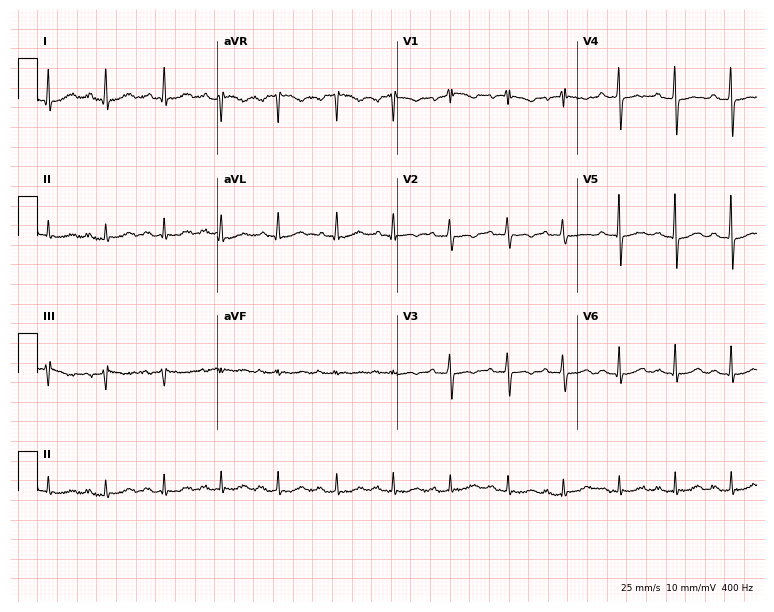
ECG (7.3-second recording at 400 Hz) — a 67-year-old female. Screened for six findings — first-degree AV block, right bundle branch block (RBBB), left bundle branch block (LBBB), sinus bradycardia, atrial fibrillation (AF), sinus tachycardia — none is recorded. Findings outside these six are not listed.